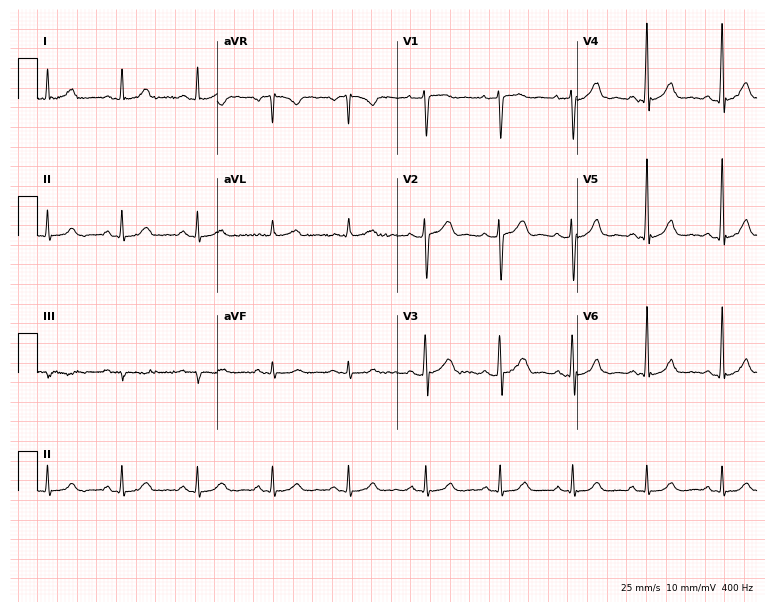
Electrocardiogram (7.3-second recording at 400 Hz), a man, 50 years old. Overall reading on record: normal ECG.